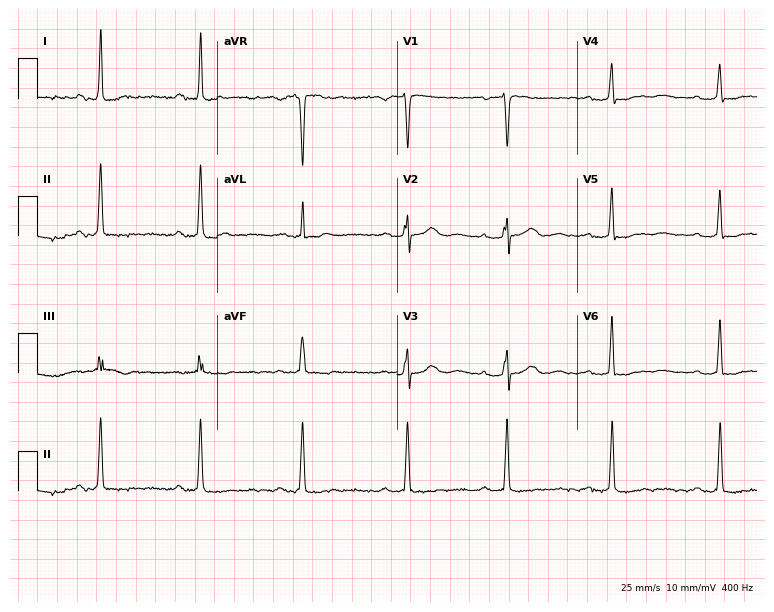
12-lead ECG (7.3-second recording at 400 Hz) from a female, 45 years old. Screened for six findings — first-degree AV block, right bundle branch block, left bundle branch block, sinus bradycardia, atrial fibrillation, sinus tachycardia — none is recorded.